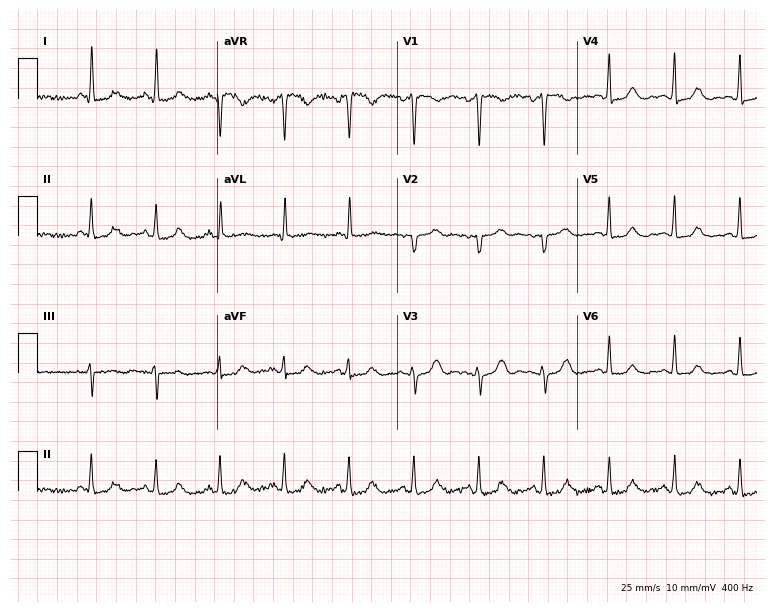
Electrocardiogram, a 63-year-old woman. Overall reading on record: normal ECG.